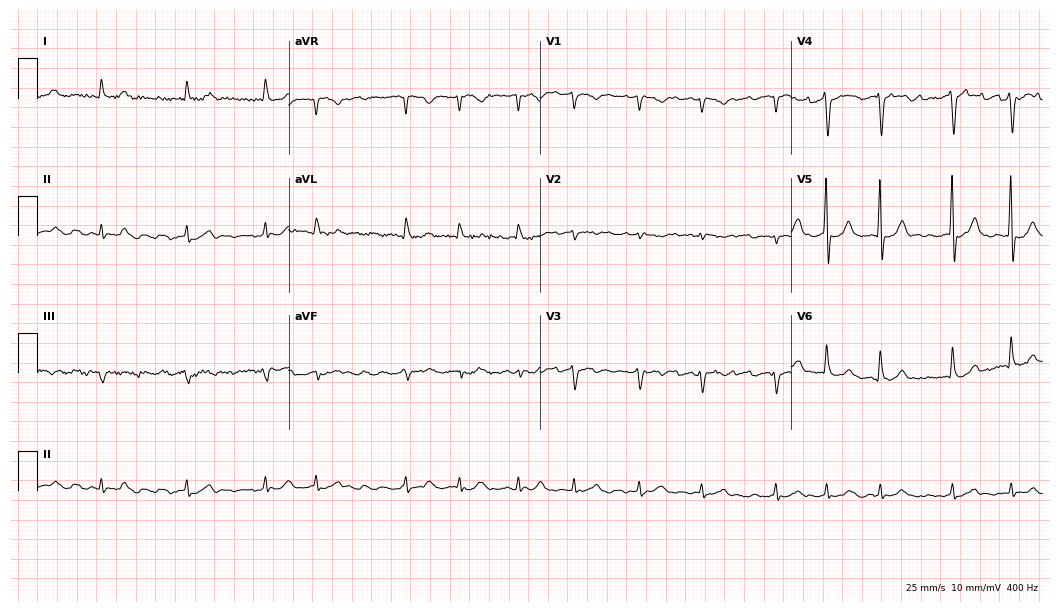
12-lead ECG (10.2-second recording at 400 Hz) from a man, 81 years old. Findings include atrial fibrillation.